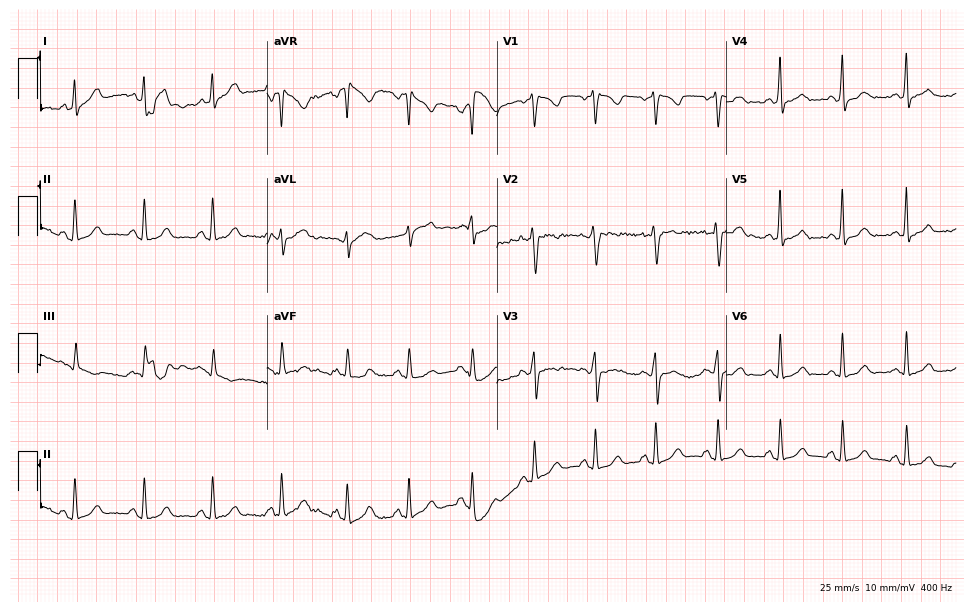
ECG (9.4-second recording at 400 Hz) — a 33-year-old female. Labelled as a normal ECG.